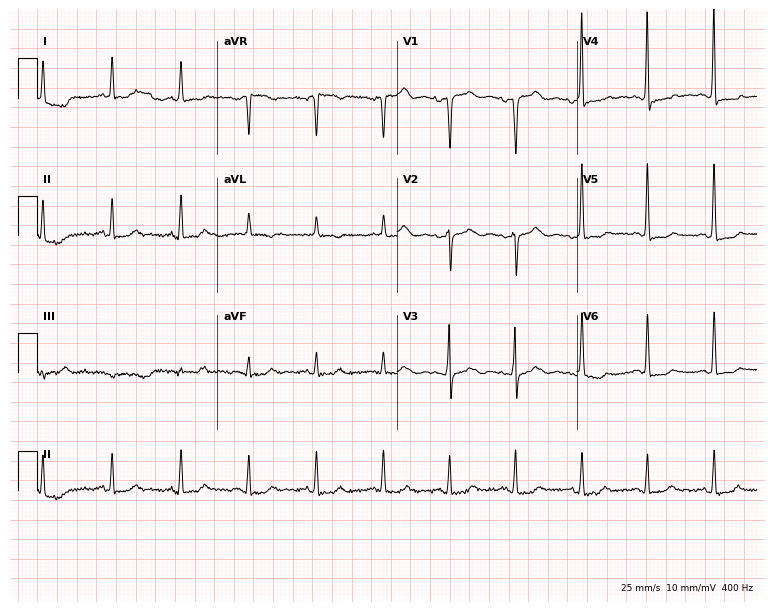
ECG — an 80-year-old woman. Screened for six findings — first-degree AV block, right bundle branch block (RBBB), left bundle branch block (LBBB), sinus bradycardia, atrial fibrillation (AF), sinus tachycardia — none is recorded. Only these six findings were labelled.